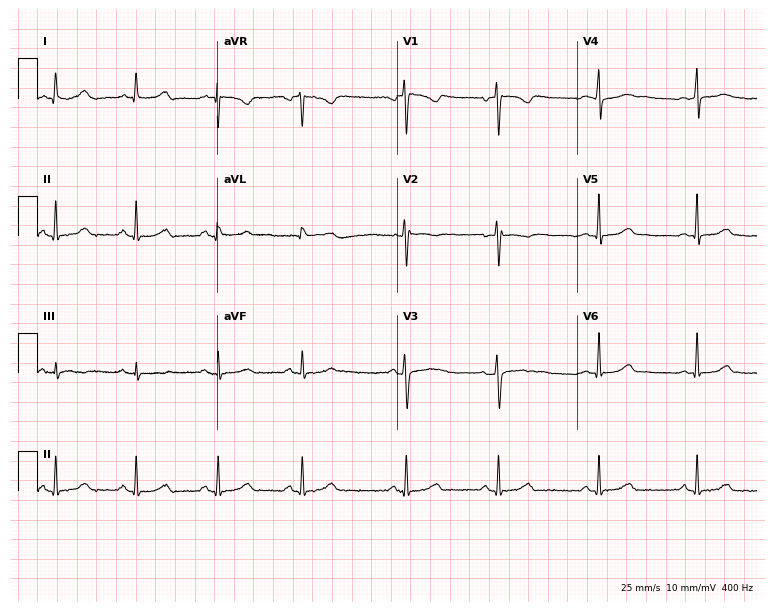
ECG (7.3-second recording at 400 Hz) — a woman, 30 years old. Screened for six findings — first-degree AV block, right bundle branch block (RBBB), left bundle branch block (LBBB), sinus bradycardia, atrial fibrillation (AF), sinus tachycardia — none is recorded.